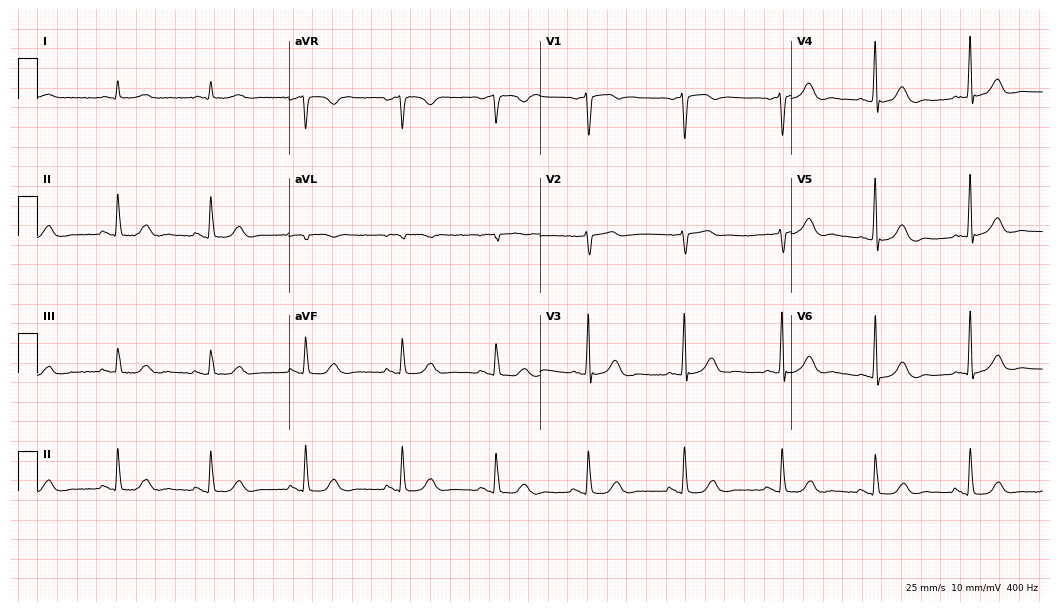
Resting 12-lead electrocardiogram. Patient: a man, 84 years old. None of these six findings is recorded: first-degree AV block, right bundle branch block, left bundle branch block, sinus bradycardia, atrial fibrillation, sinus tachycardia. Other findings, if any, are not listed.